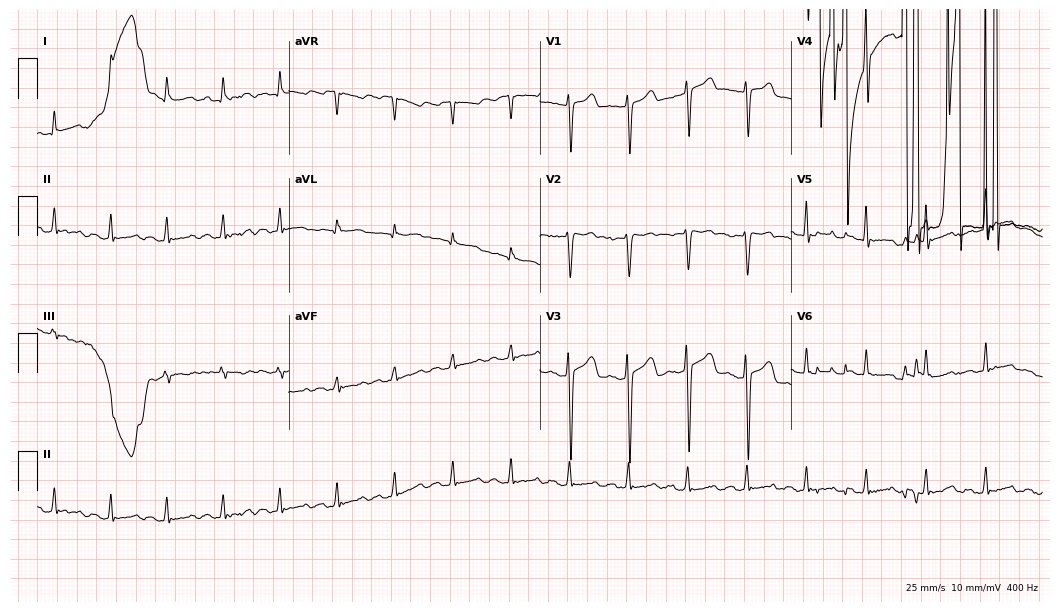
ECG — a 64-year-old man. Findings include sinus tachycardia (a sinus rate of 100 beats per minute or more).